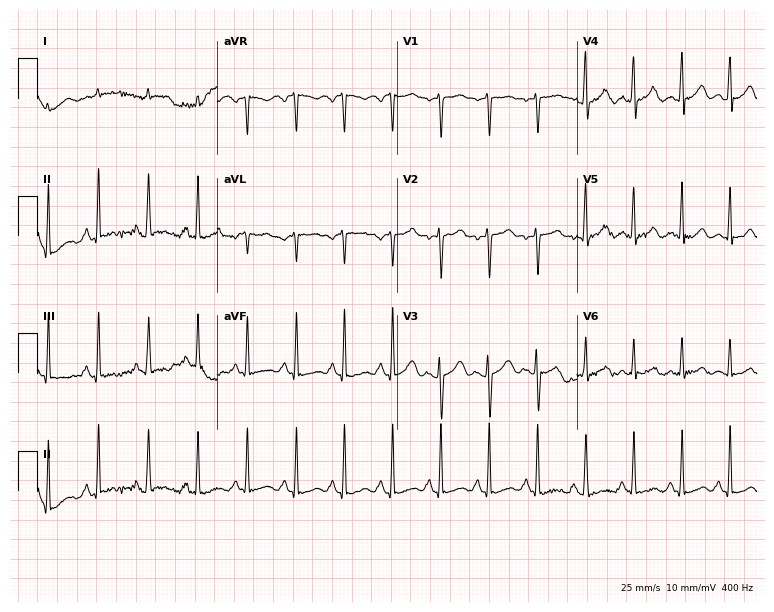
Standard 12-lead ECG recorded from a 23-year-old male patient. None of these six findings is recorded: first-degree AV block, right bundle branch block, left bundle branch block, sinus bradycardia, atrial fibrillation, sinus tachycardia. Findings outside these six are not listed.